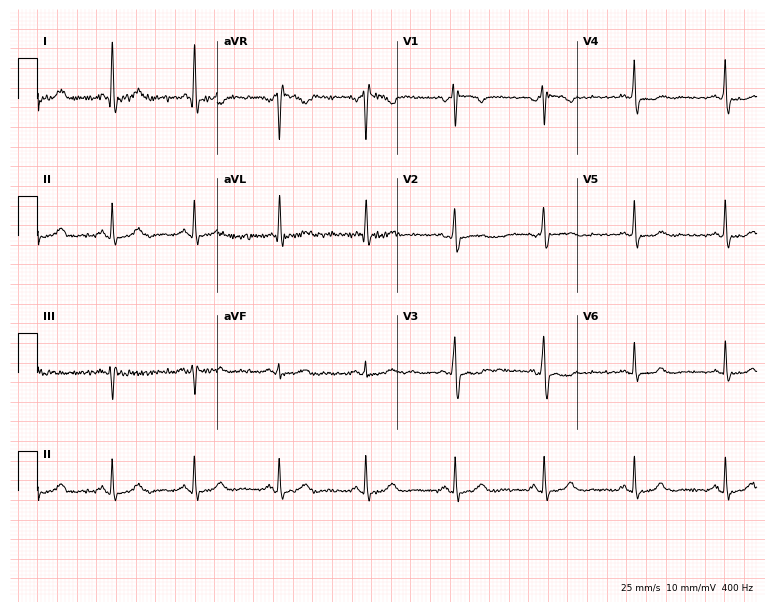
Electrocardiogram (7.3-second recording at 400 Hz), a 44-year-old female. Of the six screened findings (first-degree AV block, right bundle branch block, left bundle branch block, sinus bradycardia, atrial fibrillation, sinus tachycardia), none is recorded.